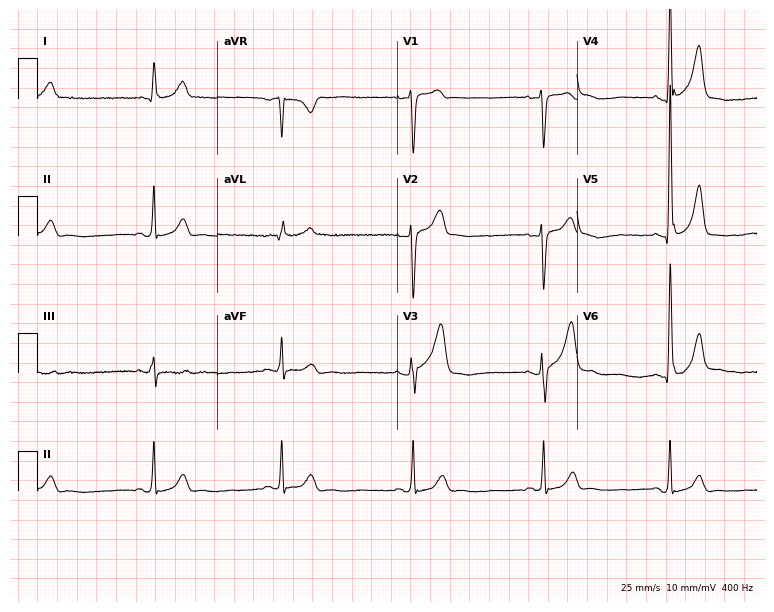
Resting 12-lead electrocardiogram. Patient: a man, 60 years old. None of these six findings is recorded: first-degree AV block, right bundle branch block, left bundle branch block, sinus bradycardia, atrial fibrillation, sinus tachycardia. Other findings, if any, are not listed.